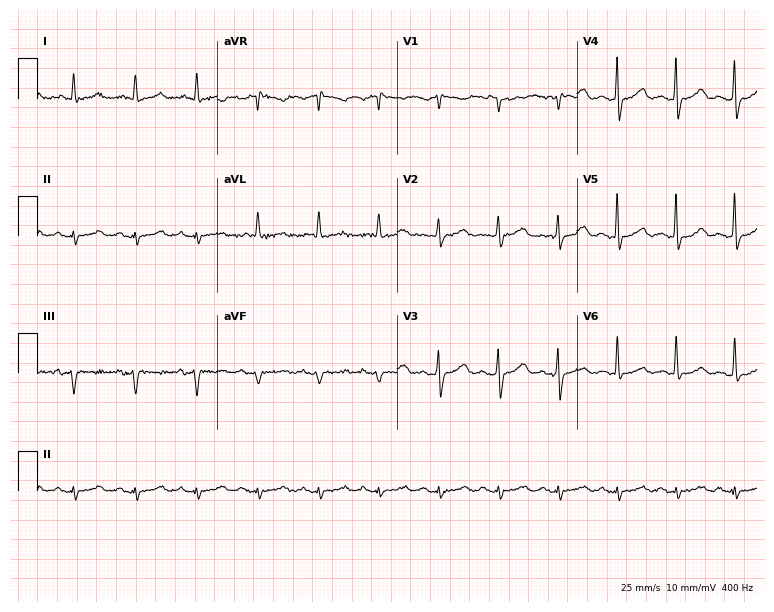
12-lead ECG (7.3-second recording at 400 Hz) from a man, 80 years old. Screened for six findings — first-degree AV block, right bundle branch block, left bundle branch block, sinus bradycardia, atrial fibrillation, sinus tachycardia — none is recorded.